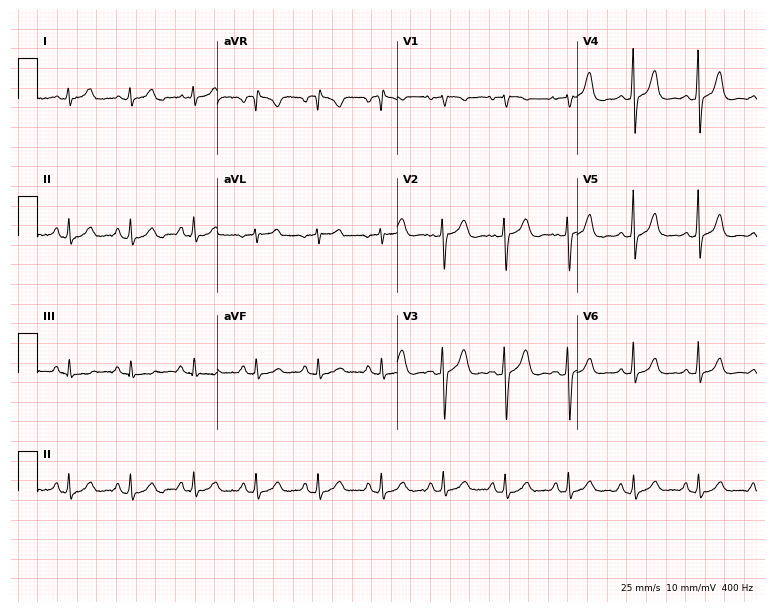
Resting 12-lead electrocardiogram. Patient: a female, 22 years old. None of these six findings is recorded: first-degree AV block, right bundle branch block (RBBB), left bundle branch block (LBBB), sinus bradycardia, atrial fibrillation (AF), sinus tachycardia.